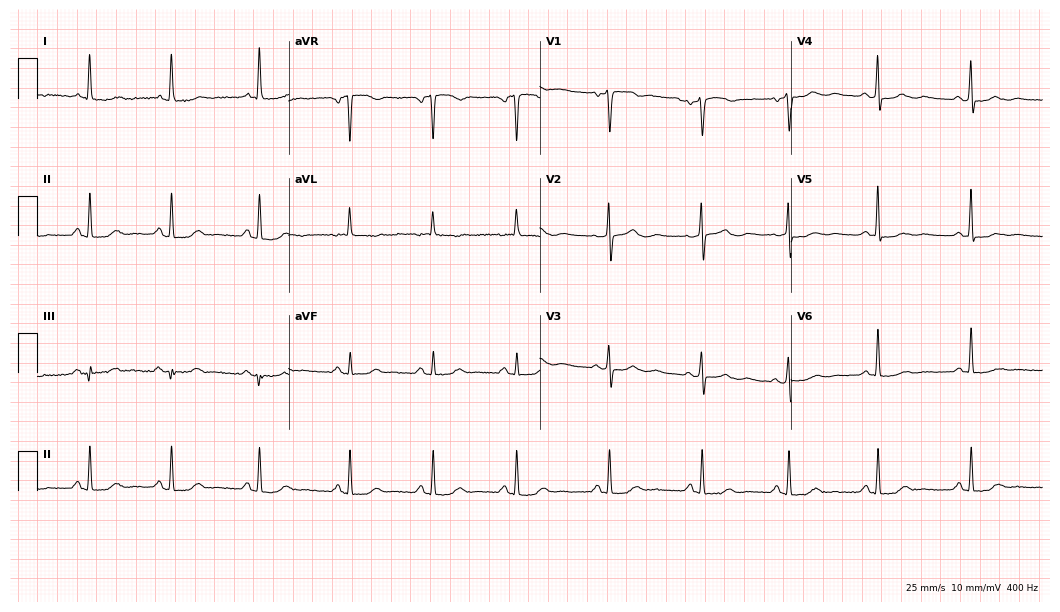
Resting 12-lead electrocardiogram (10.2-second recording at 400 Hz). Patient: a female, 55 years old. None of these six findings is recorded: first-degree AV block, right bundle branch block, left bundle branch block, sinus bradycardia, atrial fibrillation, sinus tachycardia.